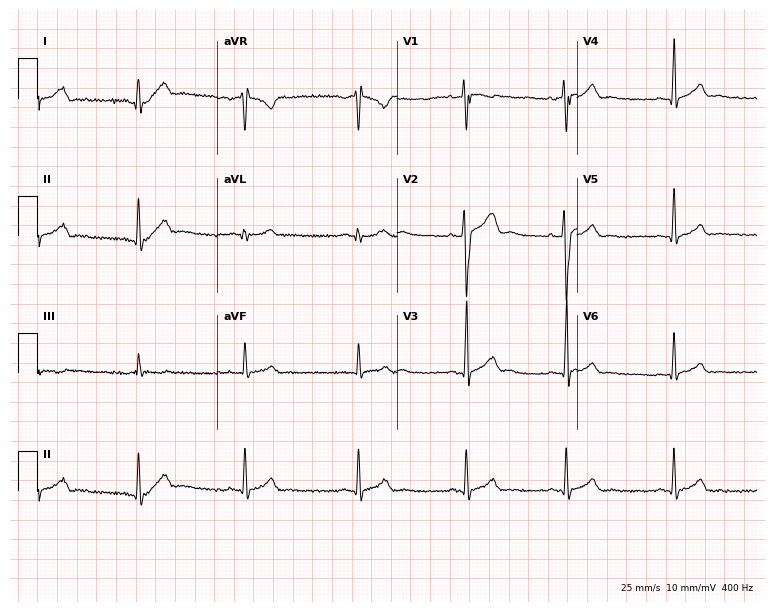
Standard 12-lead ECG recorded from a male, 21 years old (7.3-second recording at 400 Hz). Read as a normal ECG.